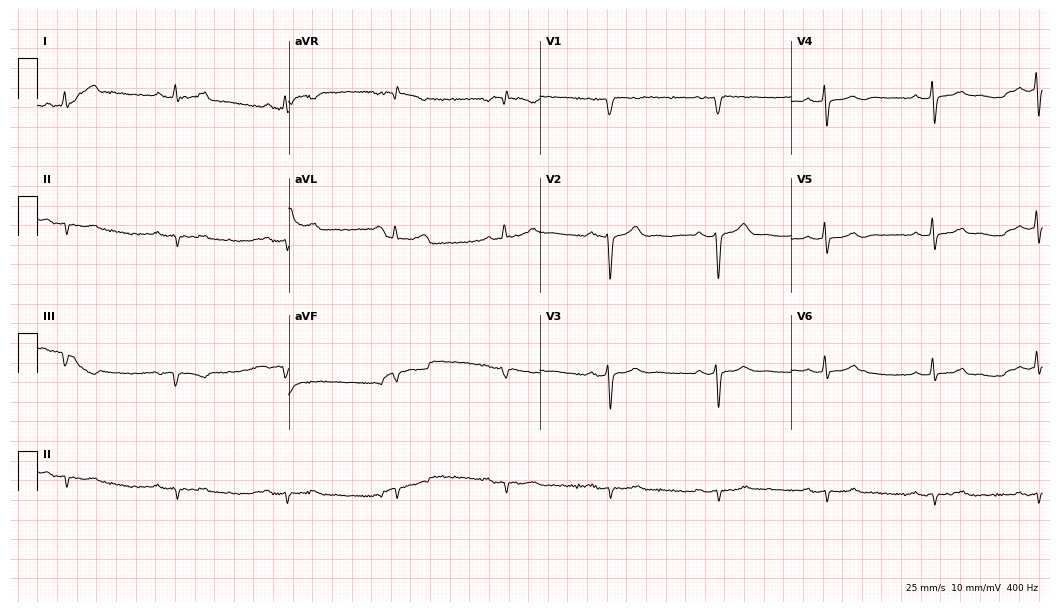
Electrocardiogram (10.2-second recording at 400 Hz), a 55-year-old male. Interpretation includes first-degree AV block.